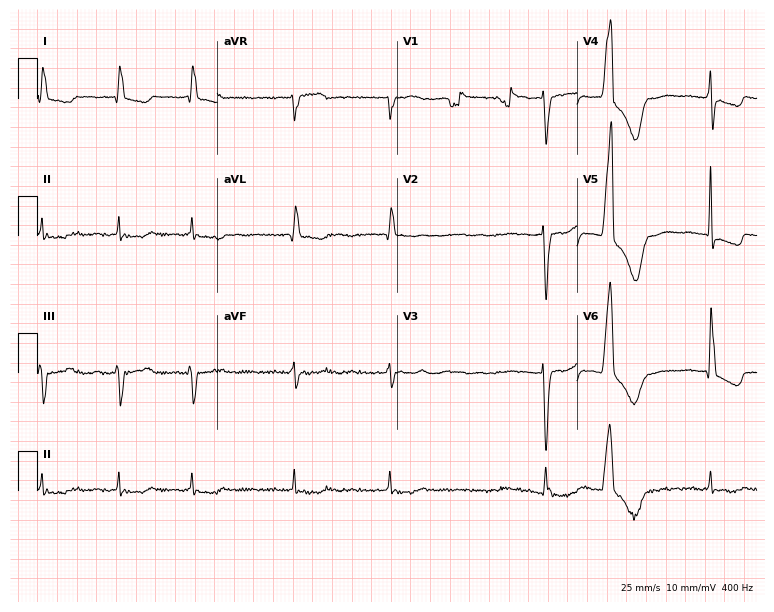
12-lead ECG (7.3-second recording at 400 Hz) from a 59-year-old female patient. Findings include atrial fibrillation.